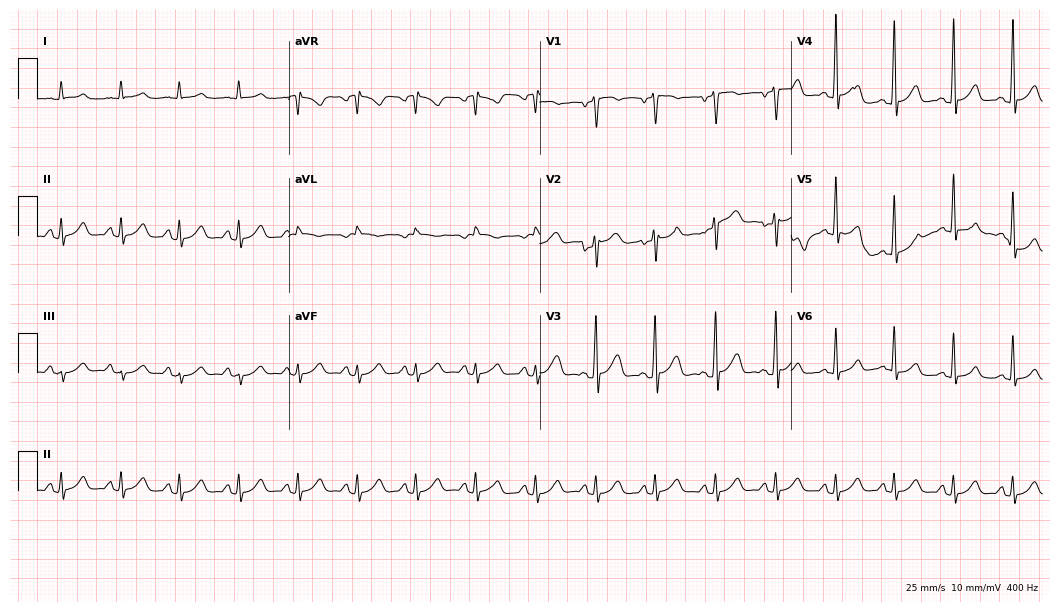
ECG — a 34-year-old man. Labelled as a normal ECG.